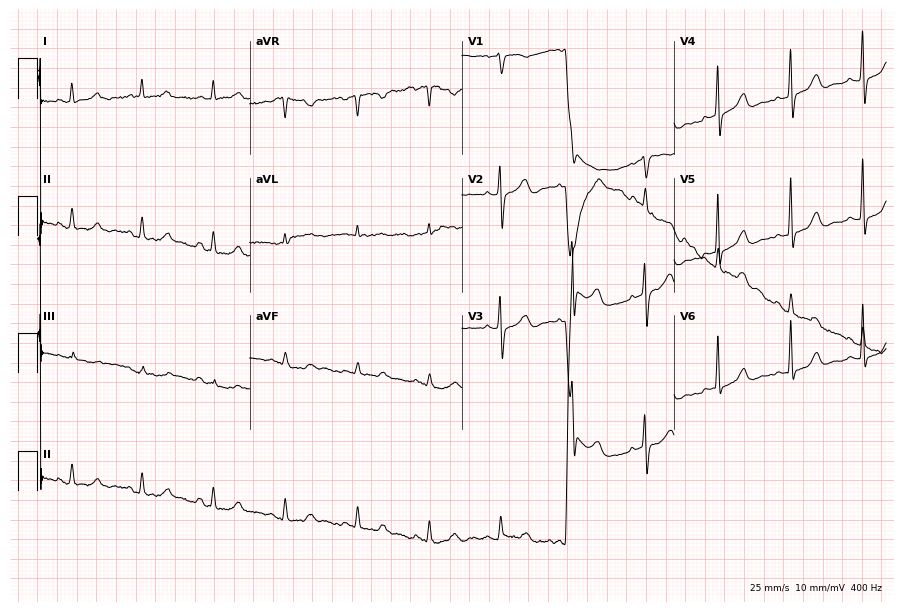
Electrocardiogram, a female, 78 years old. Of the six screened findings (first-degree AV block, right bundle branch block (RBBB), left bundle branch block (LBBB), sinus bradycardia, atrial fibrillation (AF), sinus tachycardia), none is recorded. Only these six findings were labelled.